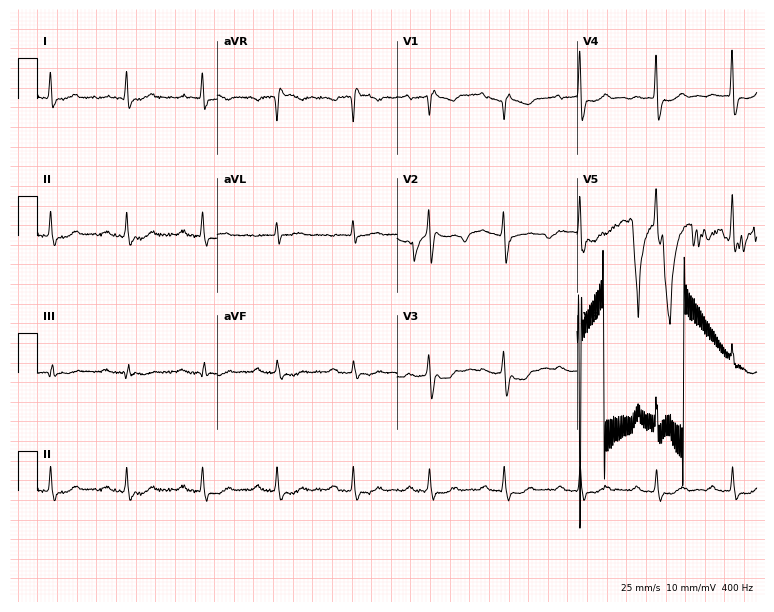
Standard 12-lead ECG recorded from a 73-year-old female patient (7.3-second recording at 400 Hz). None of these six findings is recorded: first-degree AV block, right bundle branch block (RBBB), left bundle branch block (LBBB), sinus bradycardia, atrial fibrillation (AF), sinus tachycardia. Other findings, if any, are not listed.